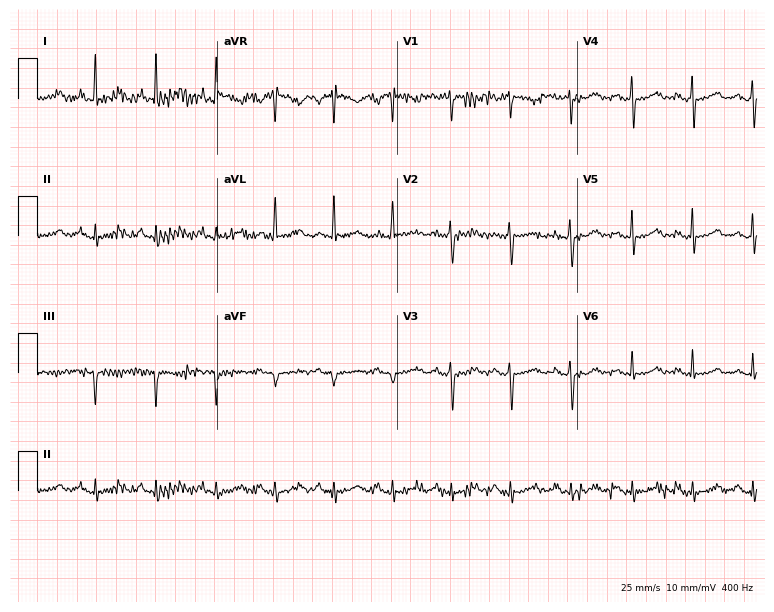
Standard 12-lead ECG recorded from a 42-year-old woman (7.3-second recording at 400 Hz). None of these six findings is recorded: first-degree AV block, right bundle branch block (RBBB), left bundle branch block (LBBB), sinus bradycardia, atrial fibrillation (AF), sinus tachycardia.